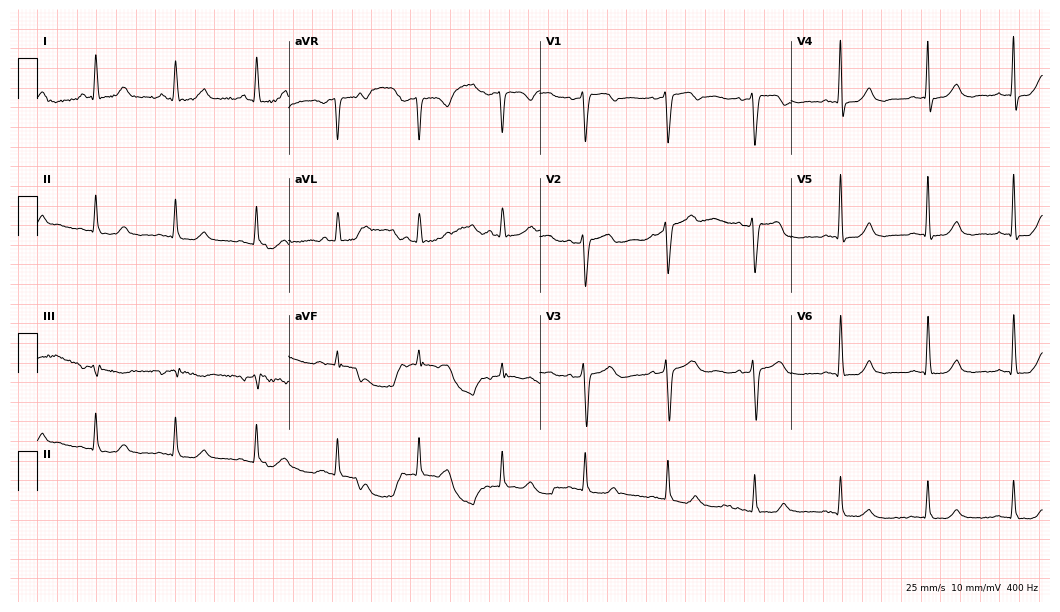
Standard 12-lead ECG recorded from a 52-year-old woman (10.2-second recording at 400 Hz). Read as a normal ECG.